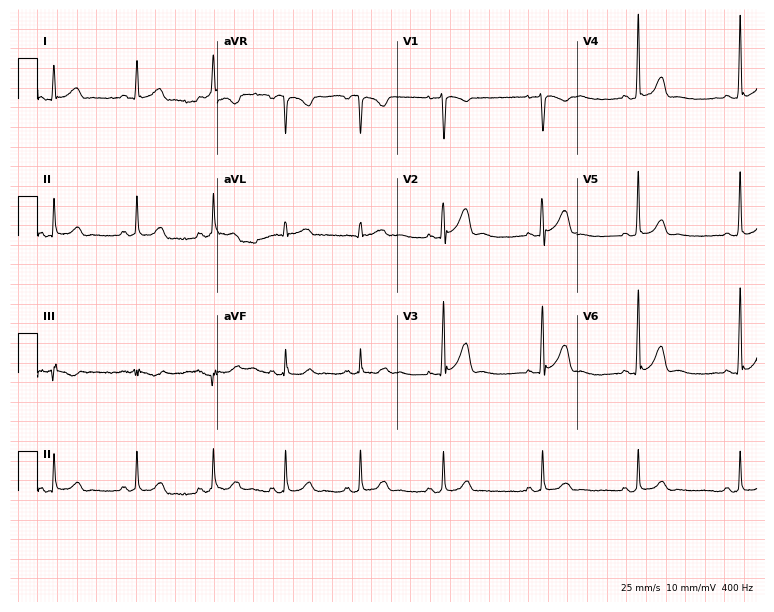
Electrocardiogram, a female patient, 27 years old. Overall reading on record: normal ECG.